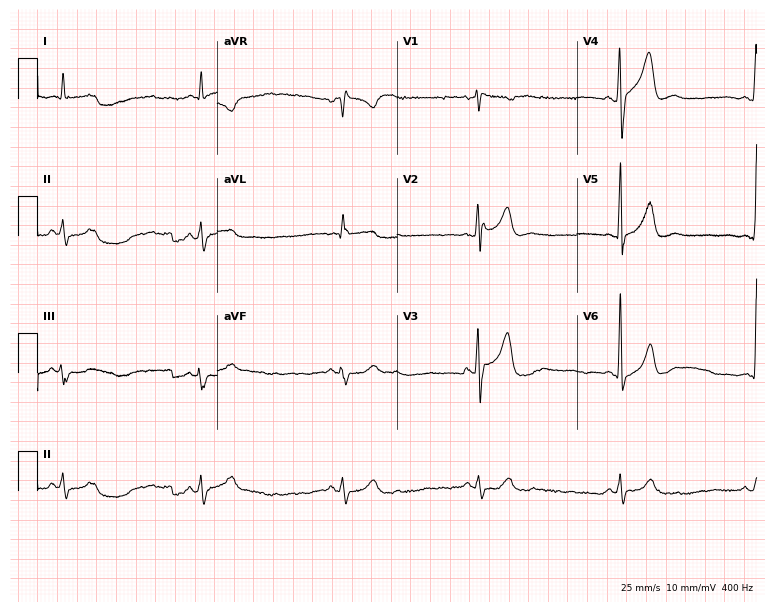
Resting 12-lead electrocardiogram. Patient: a 67-year-old man. The tracing shows sinus bradycardia (a sinus rate of 50 beats per minute or less).